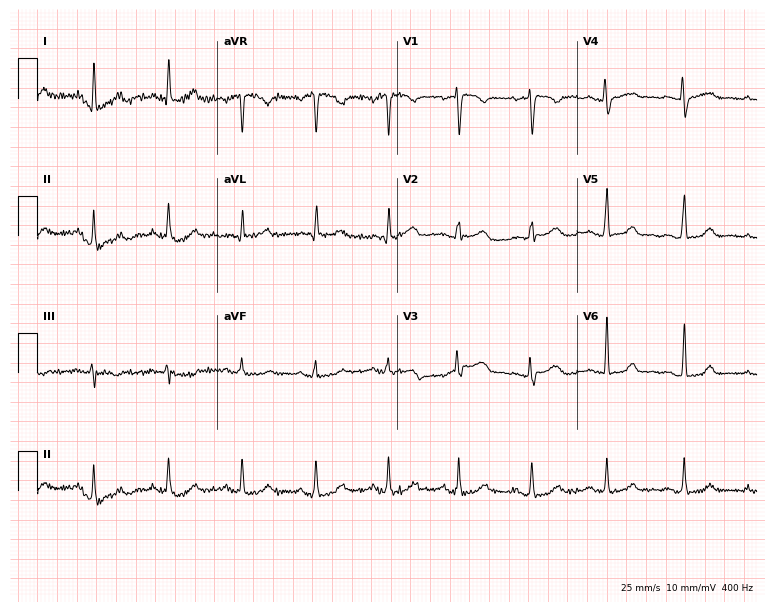
ECG (7.3-second recording at 400 Hz) — a 45-year-old female patient. Labelled as a normal ECG.